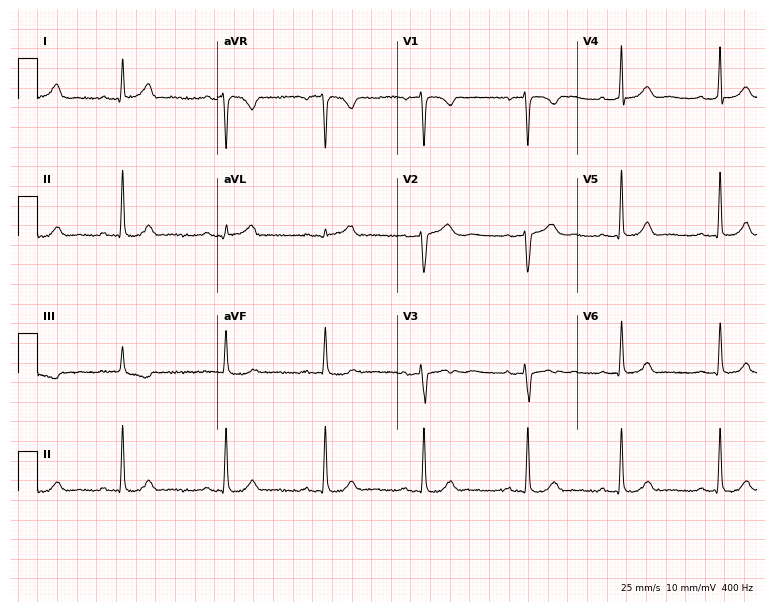
Electrocardiogram (7.3-second recording at 400 Hz), a female patient, 42 years old. Of the six screened findings (first-degree AV block, right bundle branch block, left bundle branch block, sinus bradycardia, atrial fibrillation, sinus tachycardia), none is recorded. Findings outside these six are not listed.